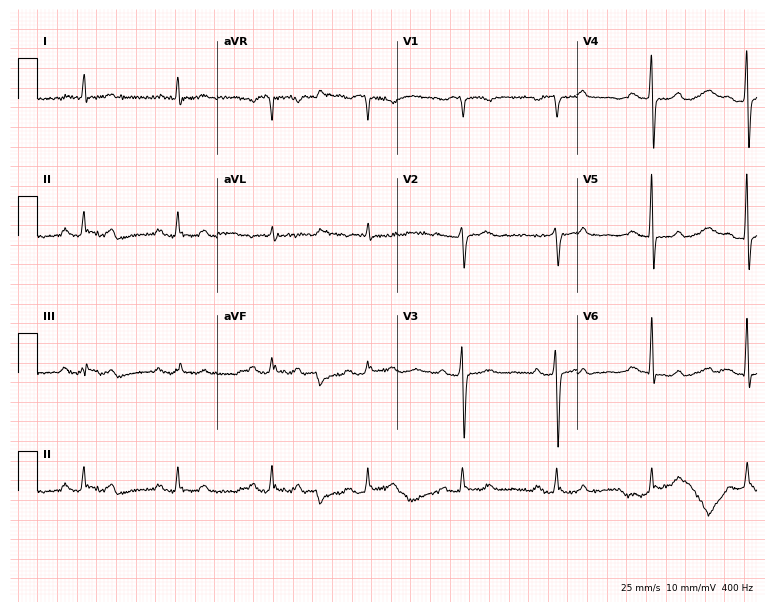
Electrocardiogram (7.3-second recording at 400 Hz), a male, 62 years old. Overall reading on record: normal ECG.